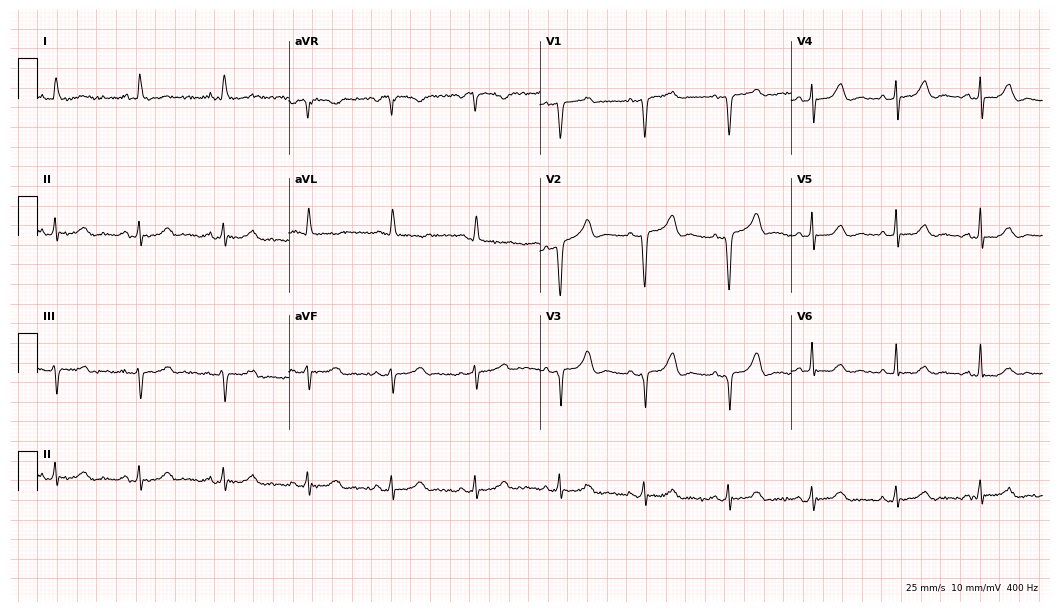
Standard 12-lead ECG recorded from a 67-year-old female. Read as a normal ECG.